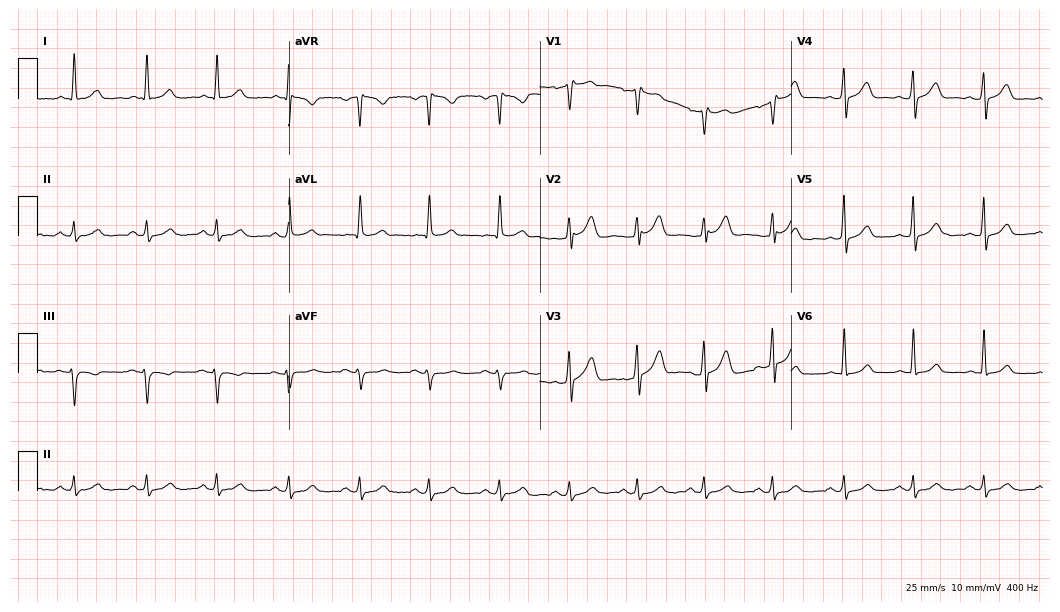
12-lead ECG from a 57-year-old male patient (10.2-second recording at 400 Hz). Recorded interpretation: within normal limits.